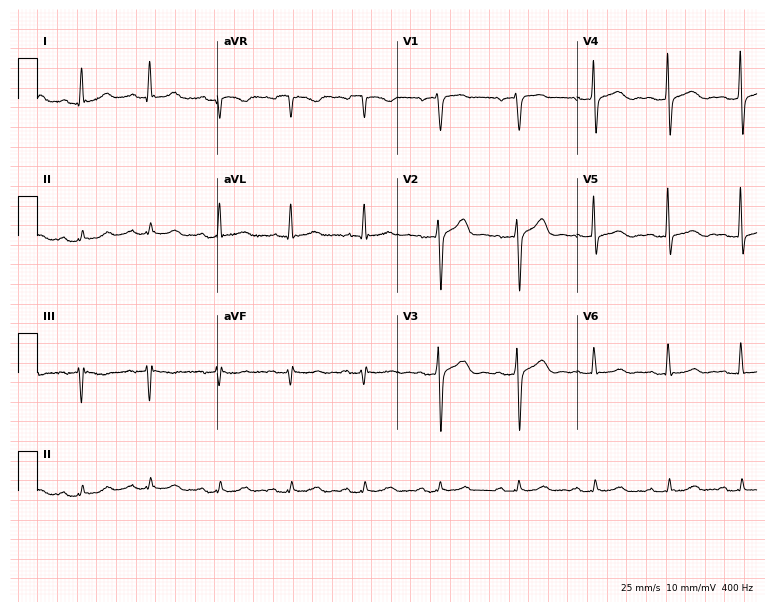
Standard 12-lead ECG recorded from a 61-year-old male patient. Read as a normal ECG.